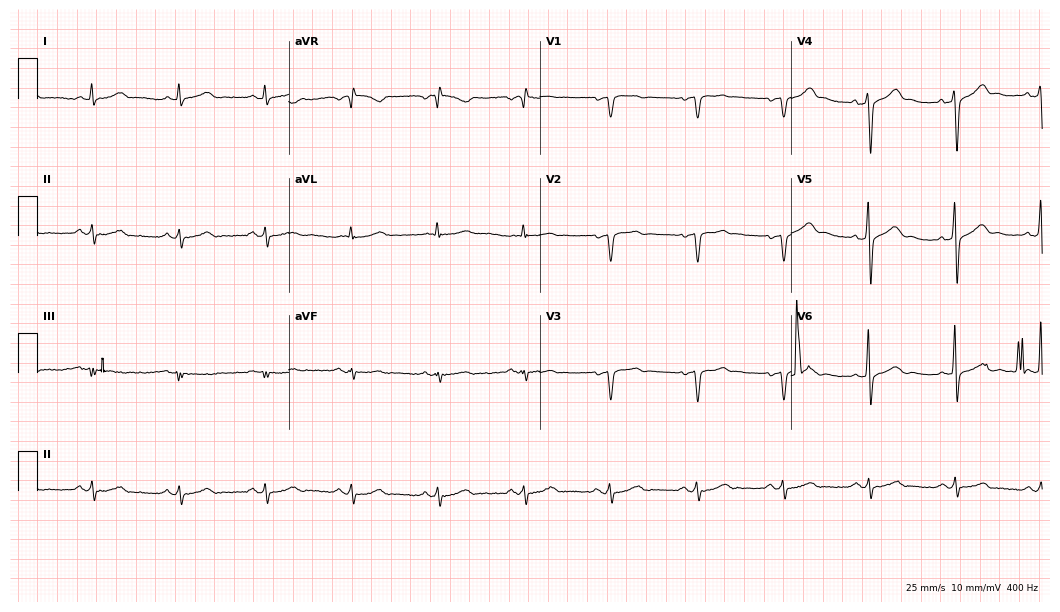
Electrocardiogram (10.2-second recording at 400 Hz), a male, 57 years old. Of the six screened findings (first-degree AV block, right bundle branch block (RBBB), left bundle branch block (LBBB), sinus bradycardia, atrial fibrillation (AF), sinus tachycardia), none is recorded.